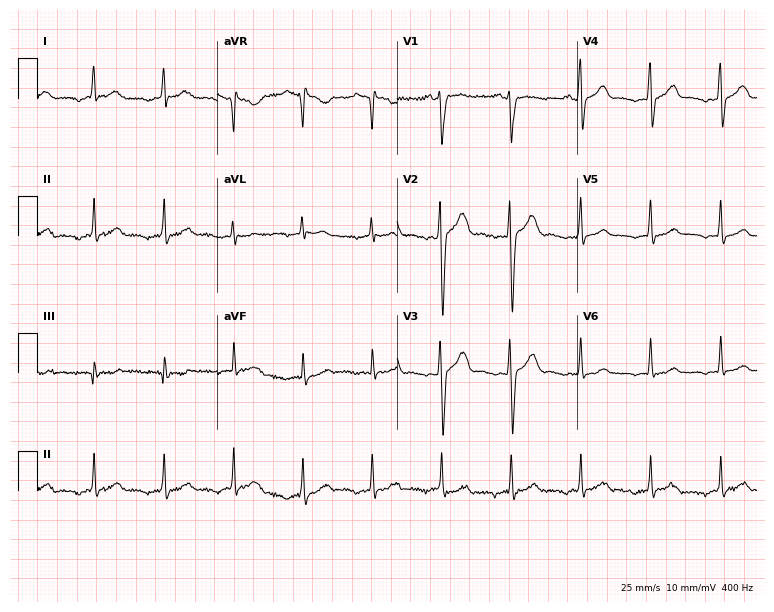
12-lead ECG from a male patient, 34 years old (7.3-second recording at 400 Hz). No first-degree AV block, right bundle branch block, left bundle branch block, sinus bradycardia, atrial fibrillation or sinus tachycardia recorded for this tracing.